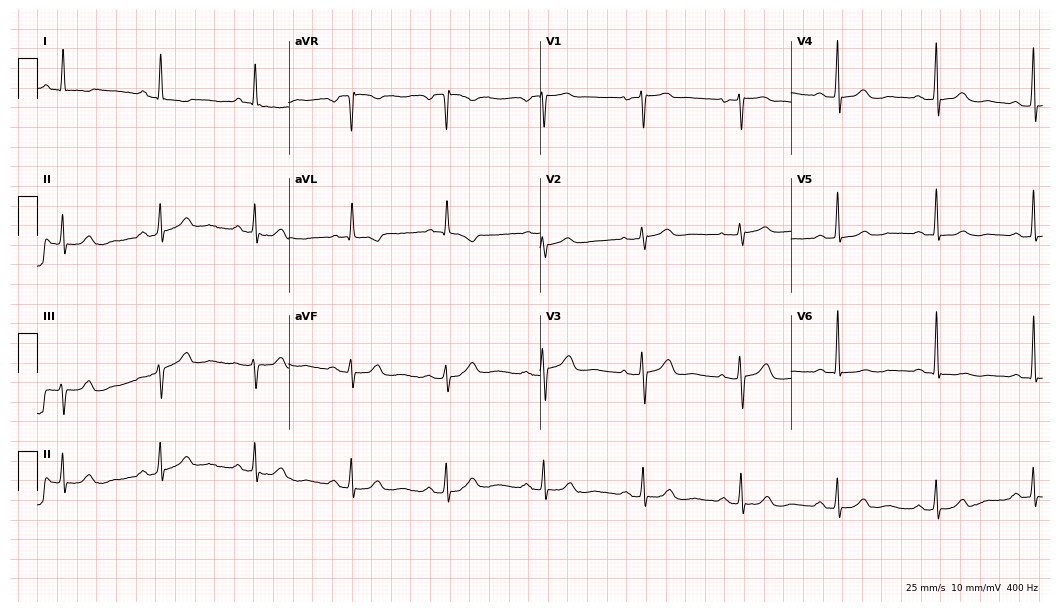
Standard 12-lead ECG recorded from a 64-year-old female. None of these six findings is recorded: first-degree AV block, right bundle branch block (RBBB), left bundle branch block (LBBB), sinus bradycardia, atrial fibrillation (AF), sinus tachycardia. Findings outside these six are not listed.